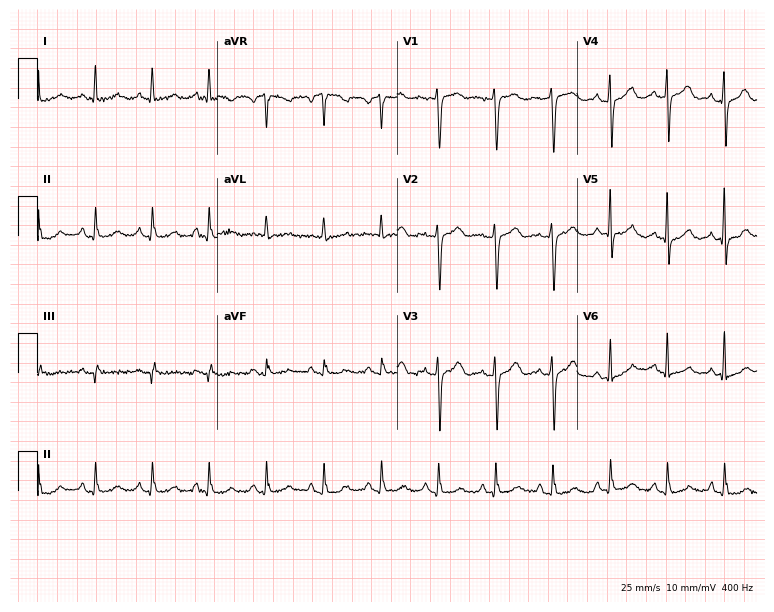
12-lead ECG (7.3-second recording at 400 Hz) from a female patient, 63 years old. Screened for six findings — first-degree AV block, right bundle branch block (RBBB), left bundle branch block (LBBB), sinus bradycardia, atrial fibrillation (AF), sinus tachycardia — none is recorded.